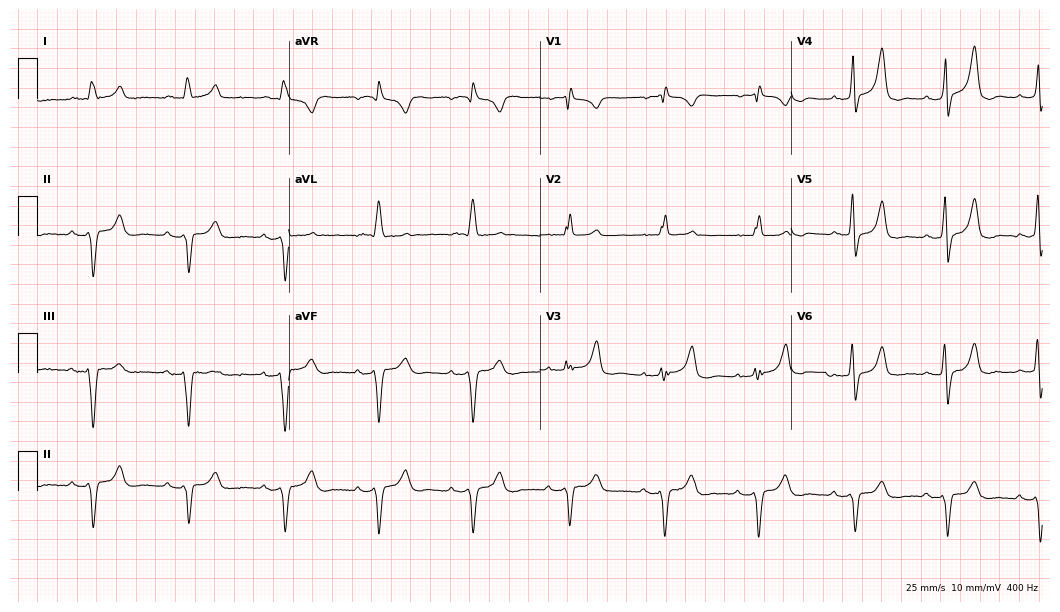
12-lead ECG (10.2-second recording at 400 Hz) from an 83-year-old male. Screened for six findings — first-degree AV block, right bundle branch block, left bundle branch block, sinus bradycardia, atrial fibrillation, sinus tachycardia — none is recorded. Findings outside these six are not listed.